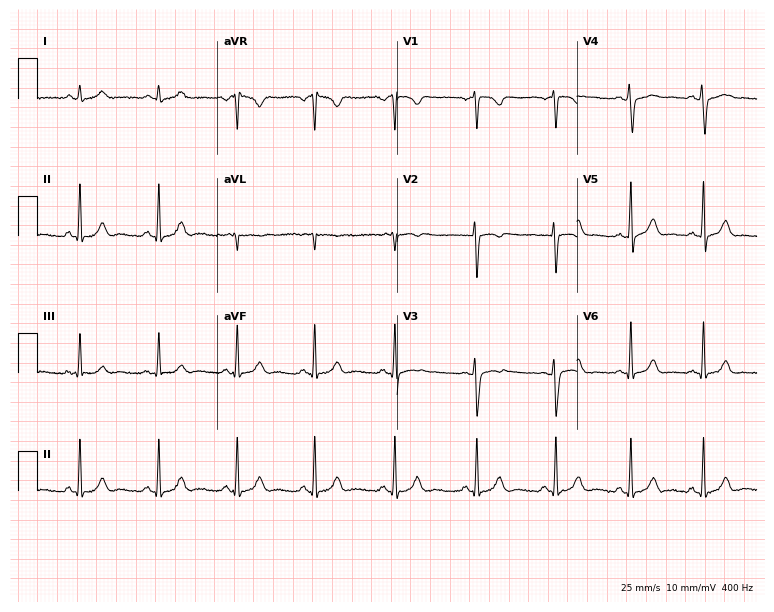
12-lead ECG (7.3-second recording at 400 Hz) from a female patient, 21 years old. Labelled as a normal ECG.